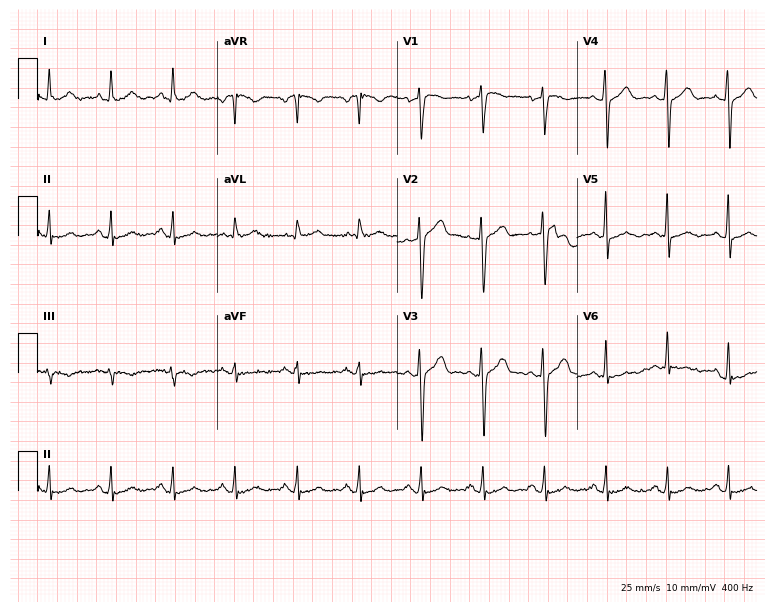
ECG (7.3-second recording at 400 Hz) — a male, 72 years old. Screened for six findings — first-degree AV block, right bundle branch block, left bundle branch block, sinus bradycardia, atrial fibrillation, sinus tachycardia — none is recorded.